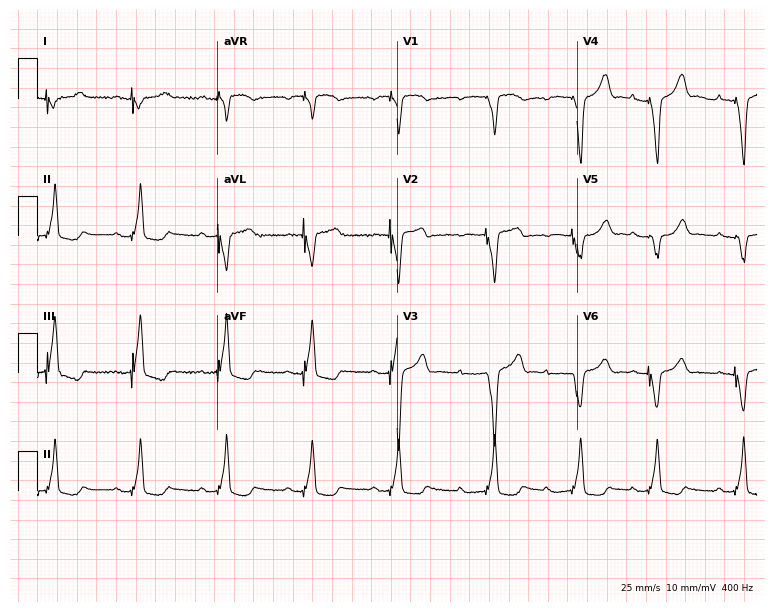
Electrocardiogram, a male patient, 82 years old. Of the six screened findings (first-degree AV block, right bundle branch block (RBBB), left bundle branch block (LBBB), sinus bradycardia, atrial fibrillation (AF), sinus tachycardia), none is recorded.